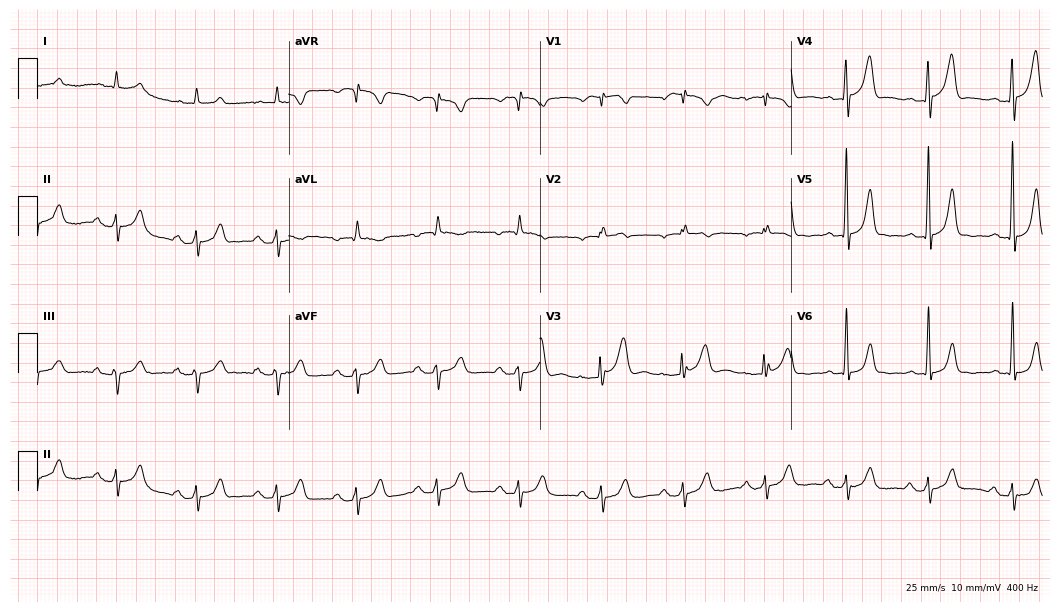
12-lead ECG from a 78-year-old male. No first-degree AV block, right bundle branch block (RBBB), left bundle branch block (LBBB), sinus bradycardia, atrial fibrillation (AF) or sinus tachycardia recorded for this tracing.